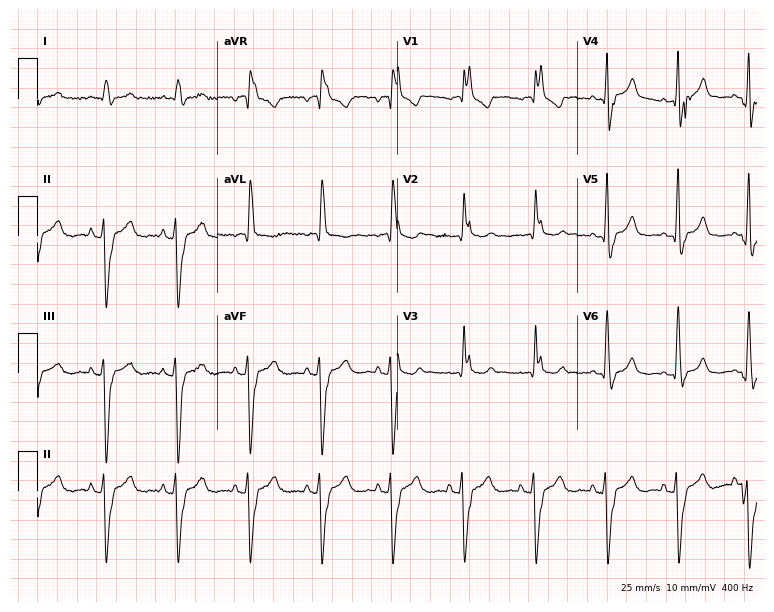
Electrocardiogram, a man, 71 years old. Interpretation includes right bundle branch block.